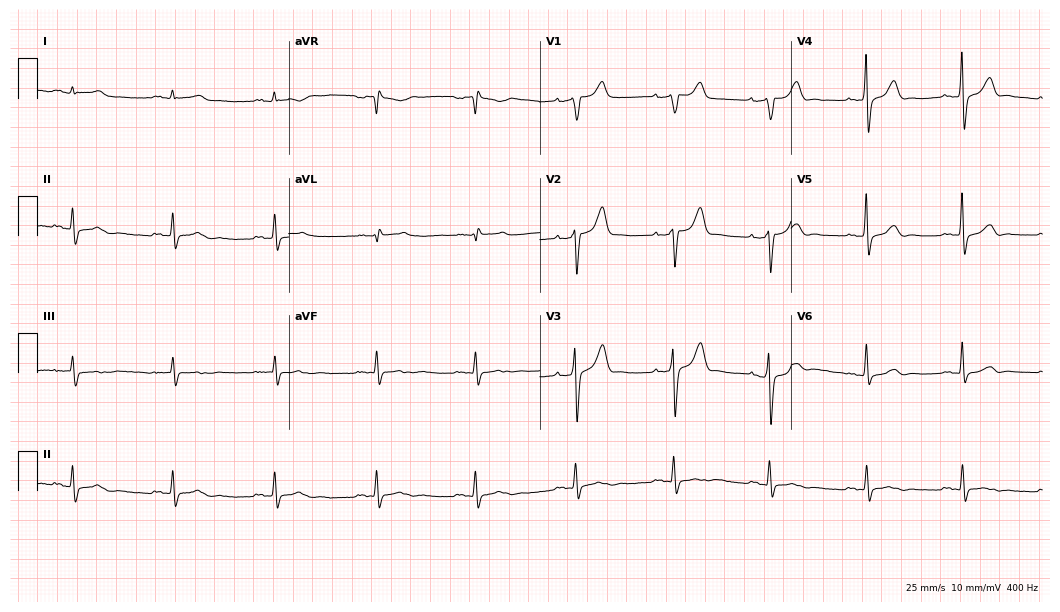
Standard 12-lead ECG recorded from a male patient, 60 years old. None of these six findings is recorded: first-degree AV block, right bundle branch block (RBBB), left bundle branch block (LBBB), sinus bradycardia, atrial fibrillation (AF), sinus tachycardia.